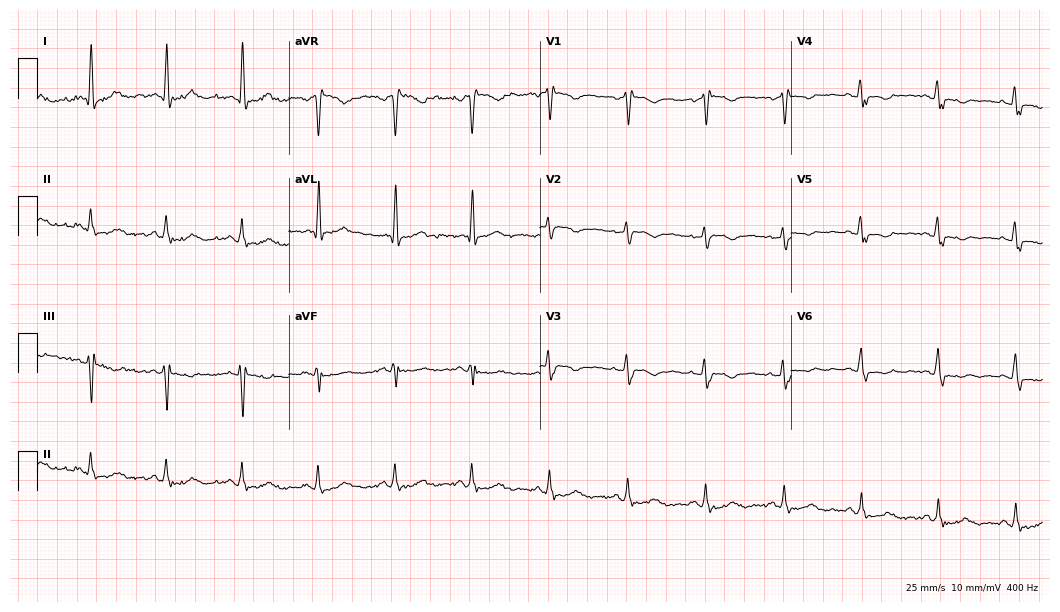
Standard 12-lead ECG recorded from a female, 64 years old. None of these six findings is recorded: first-degree AV block, right bundle branch block, left bundle branch block, sinus bradycardia, atrial fibrillation, sinus tachycardia.